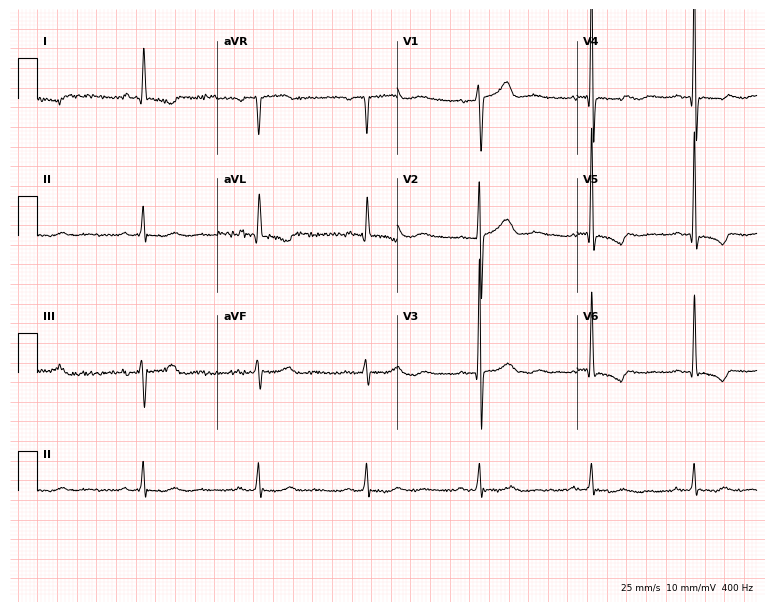
Resting 12-lead electrocardiogram (7.3-second recording at 400 Hz). Patient: a male, 70 years old. None of these six findings is recorded: first-degree AV block, right bundle branch block, left bundle branch block, sinus bradycardia, atrial fibrillation, sinus tachycardia. Findings outside these six are not listed.